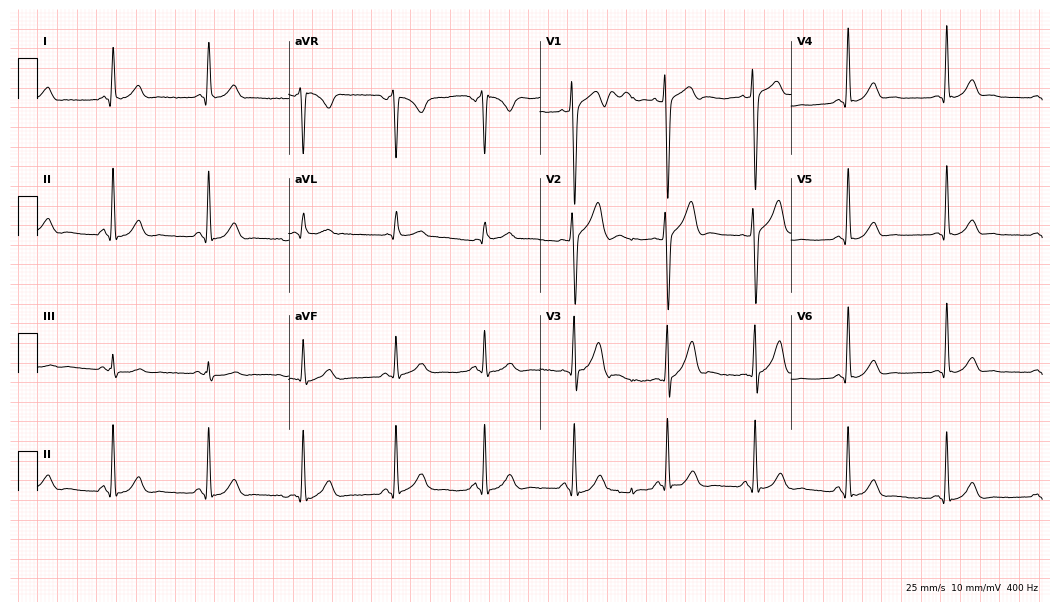
Electrocardiogram (10.2-second recording at 400 Hz), a male patient, 38 years old. Overall reading on record: normal ECG.